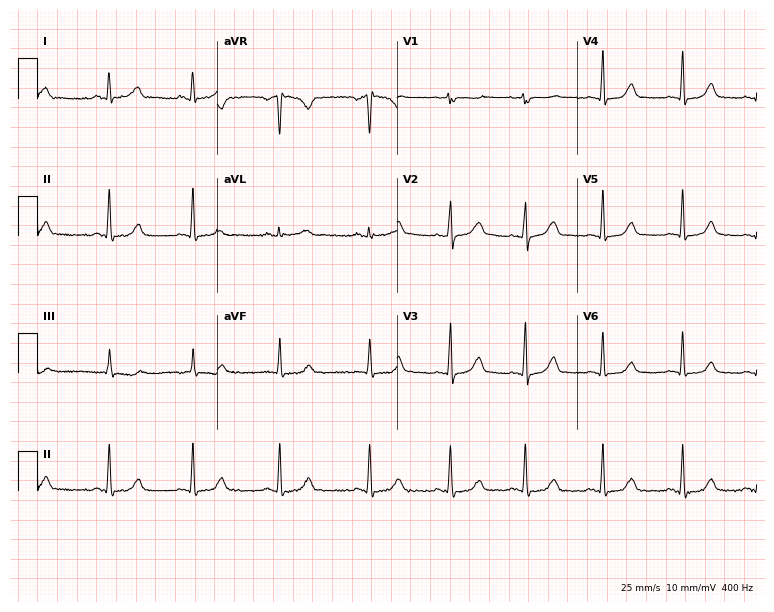
ECG (7.3-second recording at 400 Hz) — a 24-year-old woman. Labelled as a normal ECG.